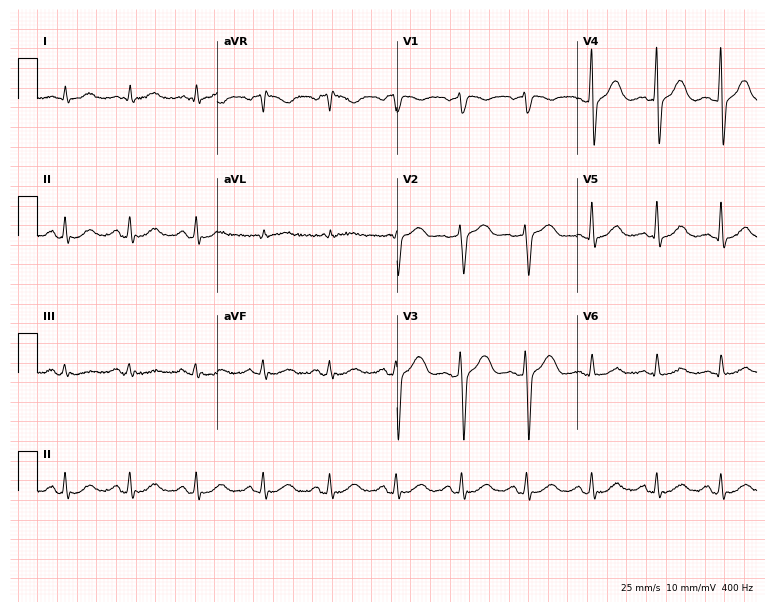
12-lead ECG from a 64-year-old male (7.3-second recording at 400 Hz). Recorded interpretation: within normal limits.